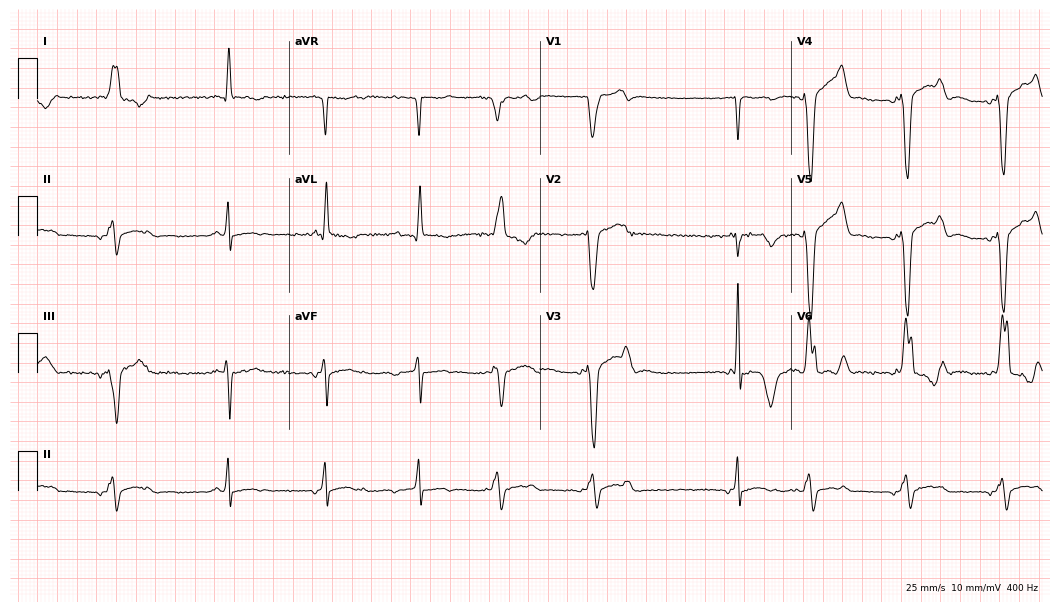
Resting 12-lead electrocardiogram. Patient: a 77-year-old man. None of these six findings is recorded: first-degree AV block, right bundle branch block, left bundle branch block, sinus bradycardia, atrial fibrillation, sinus tachycardia.